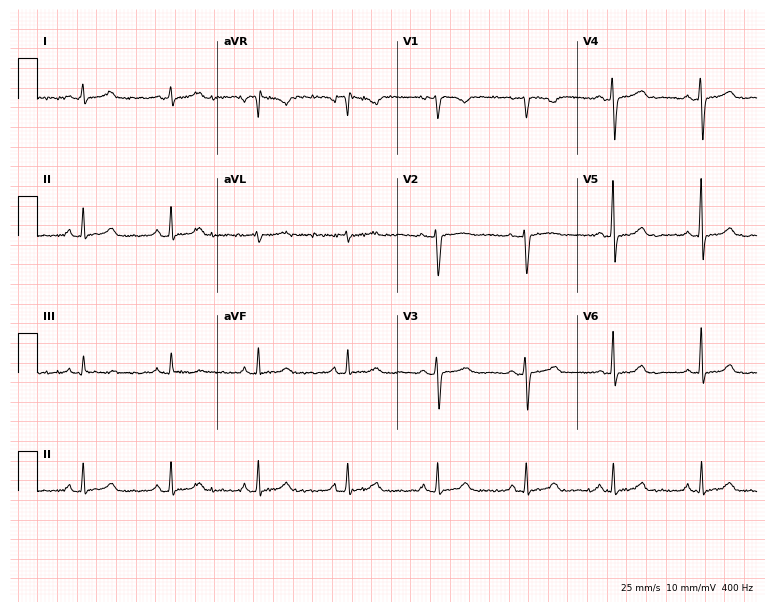
Standard 12-lead ECG recorded from a 46-year-old female patient (7.3-second recording at 400 Hz). None of these six findings is recorded: first-degree AV block, right bundle branch block, left bundle branch block, sinus bradycardia, atrial fibrillation, sinus tachycardia.